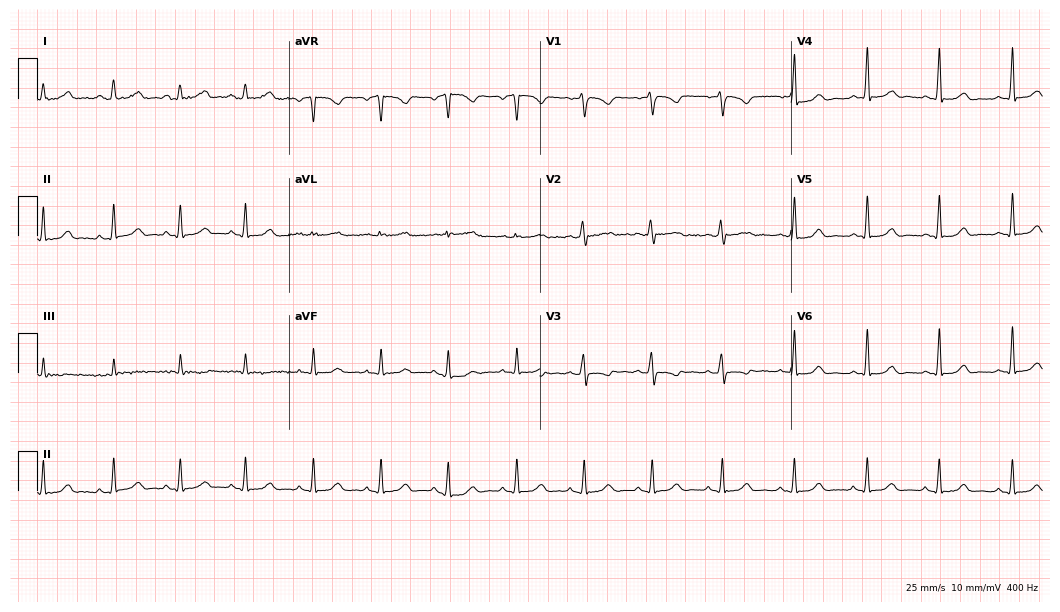
12-lead ECG (10.2-second recording at 400 Hz) from a female patient, 23 years old. Labelled as a normal ECG.